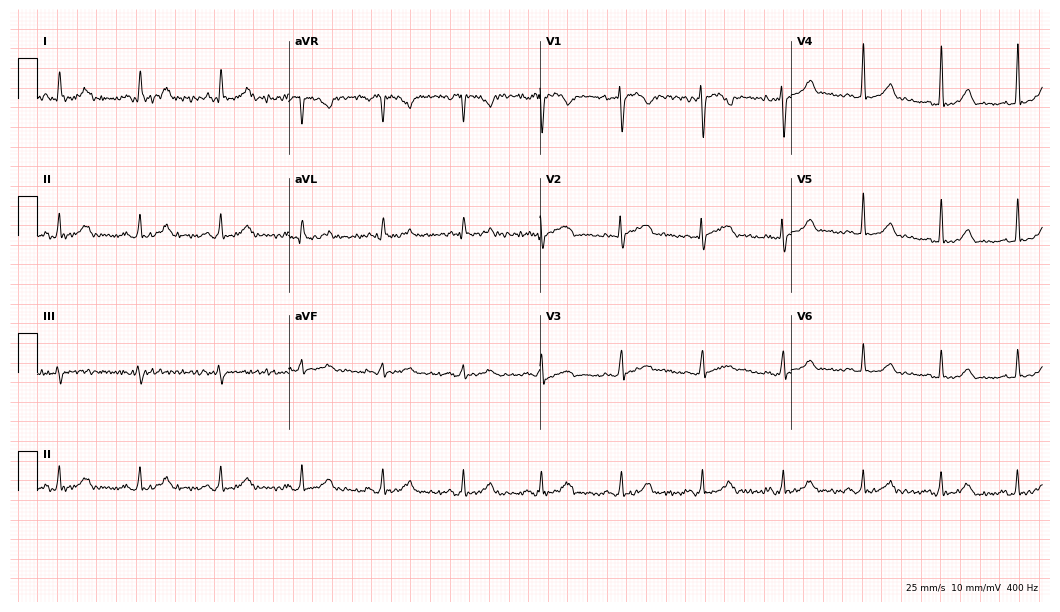
ECG — a 46-year-old female. Labelled as a normal ECG.